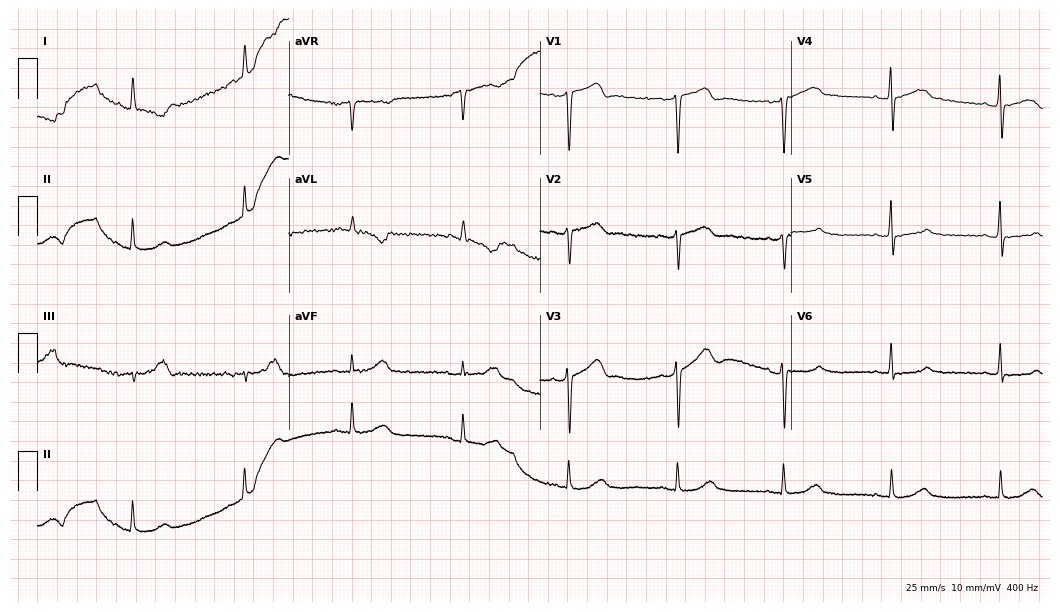
ECG (10.2-second recording at 400 Hz) — a 66-year-old female patient. Screened for six findings — first-degree AV block, right bundle branch block, left bundle branch block, sinus bradycardia, atrial fibrillation, sinus tachycardia — none is recorded. Only these six findings were labelled.